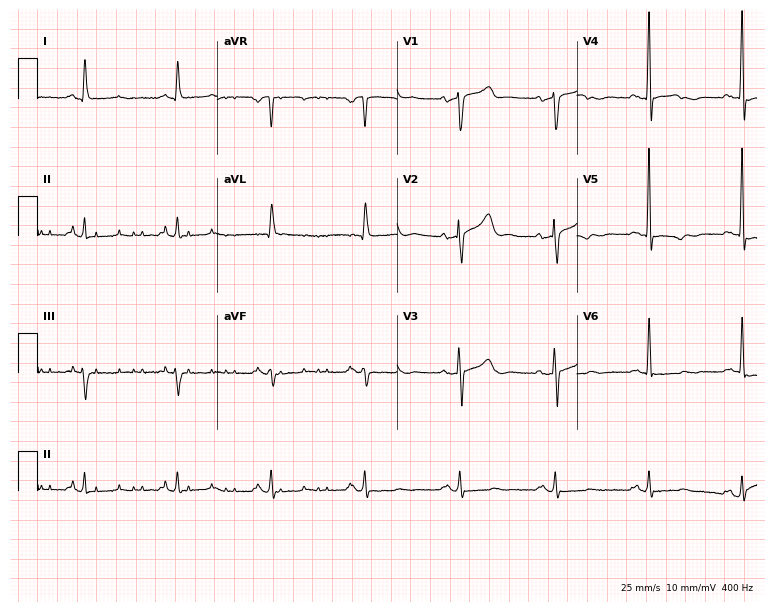
Standard 12-lead ECG recorded from a female, 66 years old (7.3-second recording at 400 Hz). None of these six findings is recorded: first-degree AV block, right bundle branch block (RBBB), left bundle branch block (LBBB), sinus bradycardia, atrial fibrillation (AF), sinus tachycardia.